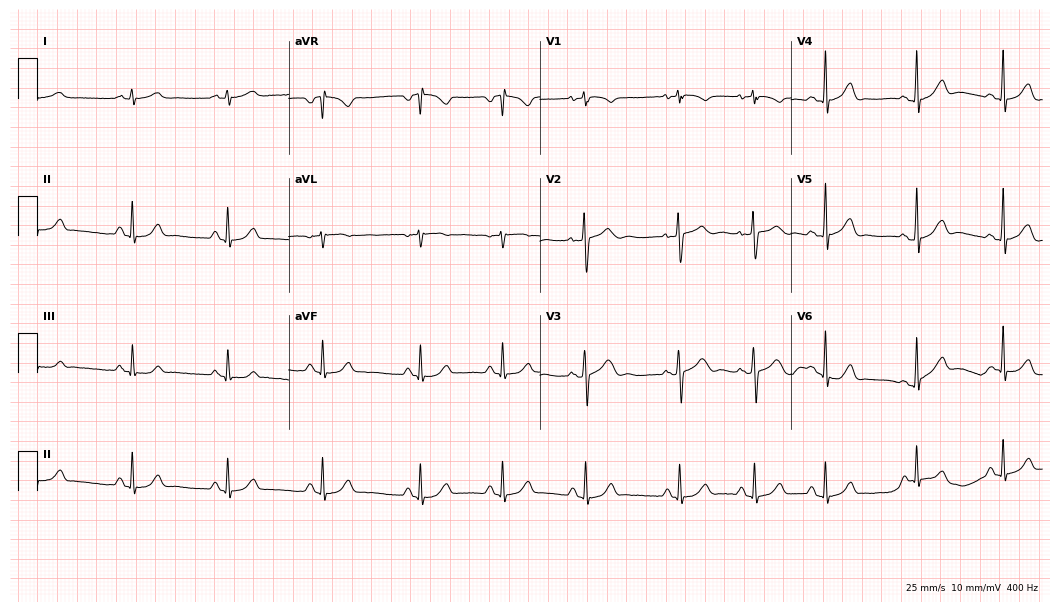
Standard 12-lead ECG recorded from a 17-year-old female patient. Read as a normal ECG.